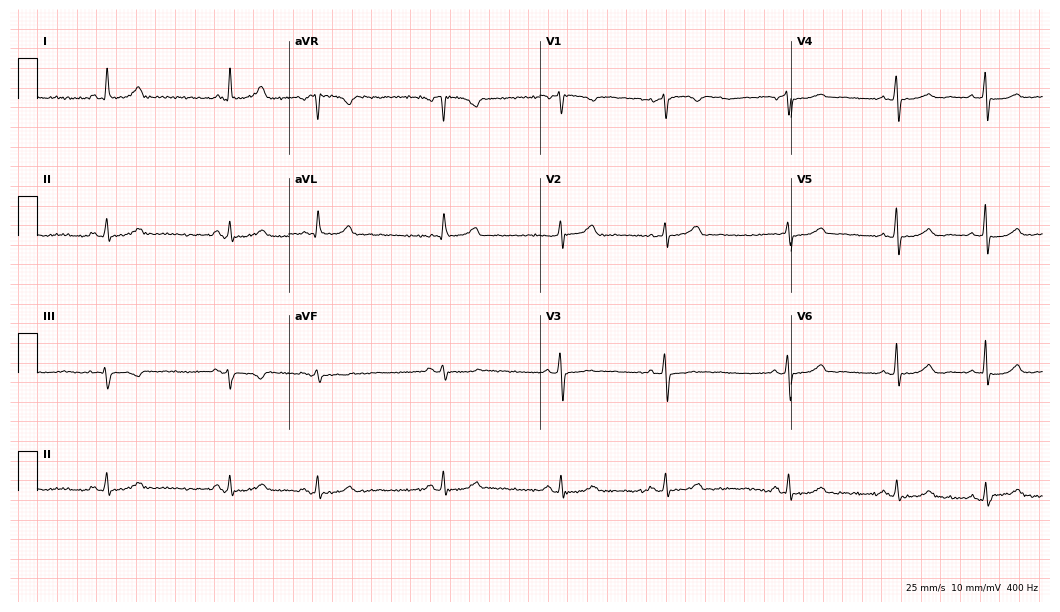
Standard 12-lead ECG recorded from a female patient, 58 years old (10.2-second recording at 400 Hz). Read as a normal ECG.